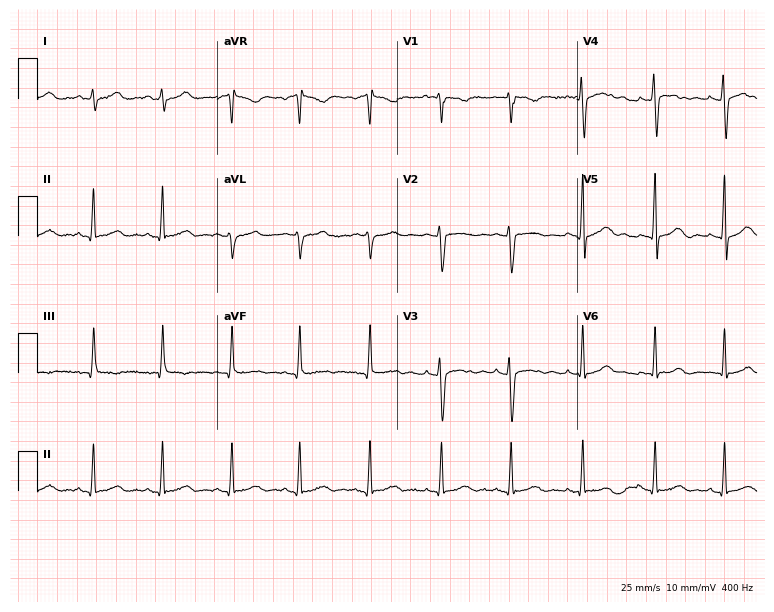
12-lead ECG from a 17-year-old male. Labelled as a normal ECG.